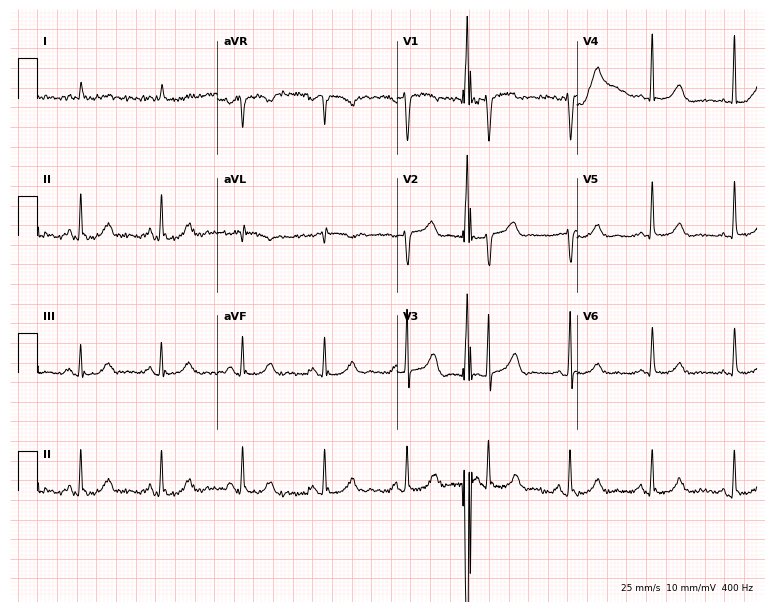
Resting 12-lead electrocardiogram. Patient: a male, 74 years old. Read as a normal ECG.